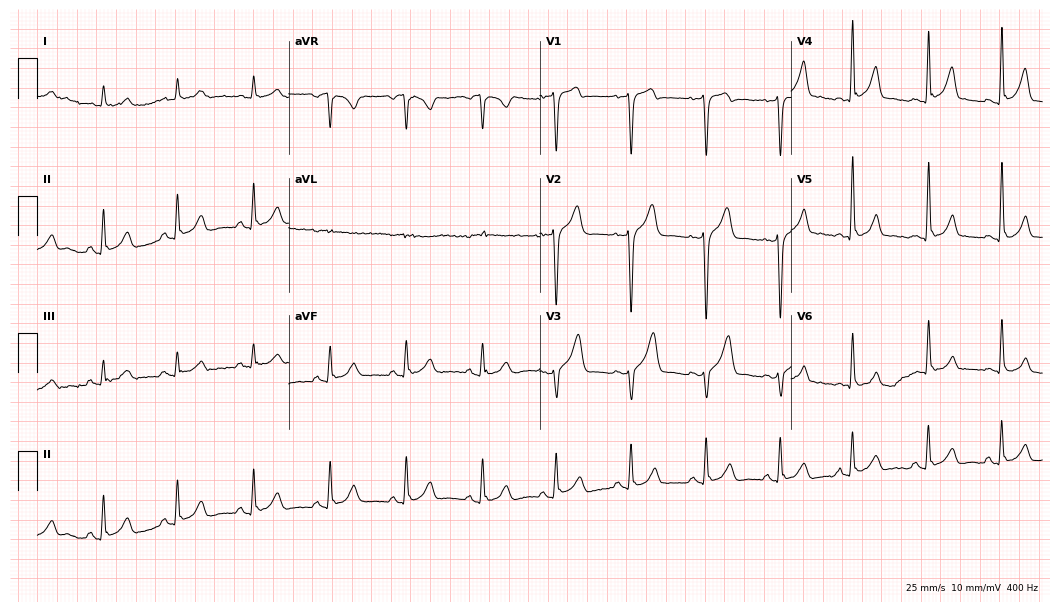
12-lead ECG from a 30-year-old male patient. No first-degree AV block, right bundle branch block (RBBB), left bundle branch block (LBBB), sinus bradycardia, atrial fibrillation (AF) or sinus tachycardia recorded for this tracing. Findings outside these six are not listed.